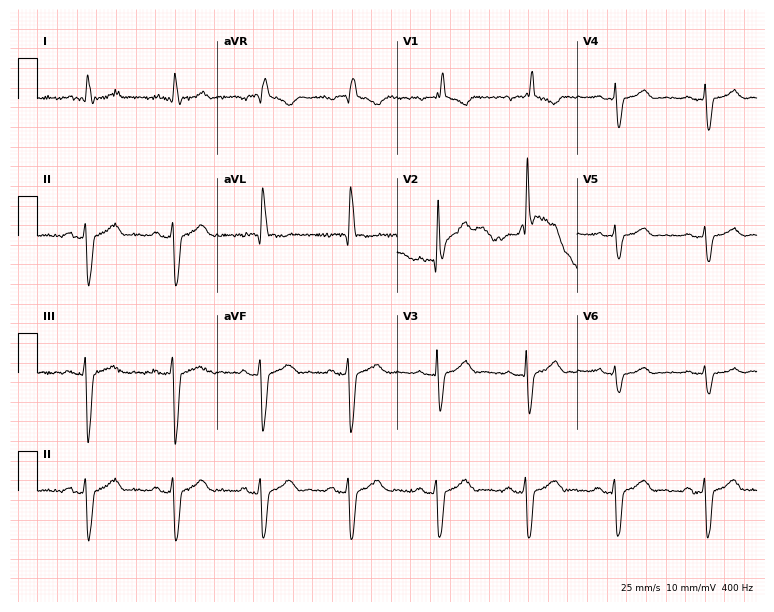
ECG — a male, 83 years old. Findings include right bundle branch block.